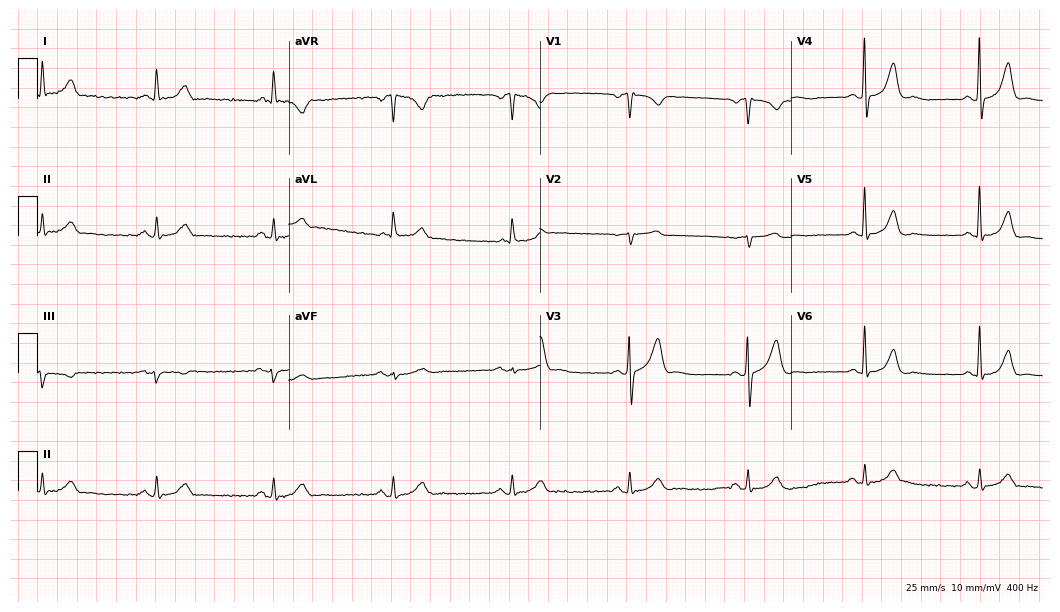
12-lead ECG (10.2-second recording at 400 Hz) from a 63-year-old male. Findings include sinus bradycardia (a sinus rate of 50 beats per minute or less).